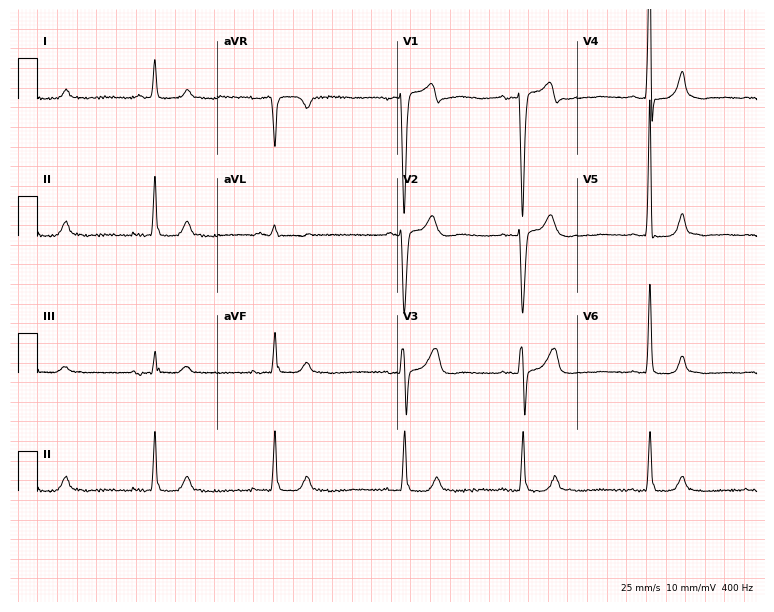
12-lead ECG (7.3-second recording at 400 Hz) from a male, 85 years old. Screened for six findings — first-degree AV block, right bundle branch block, left bundle branch block, sinus bradycardia, atrial fibrillation, sinus tachycardia — none is recorded.